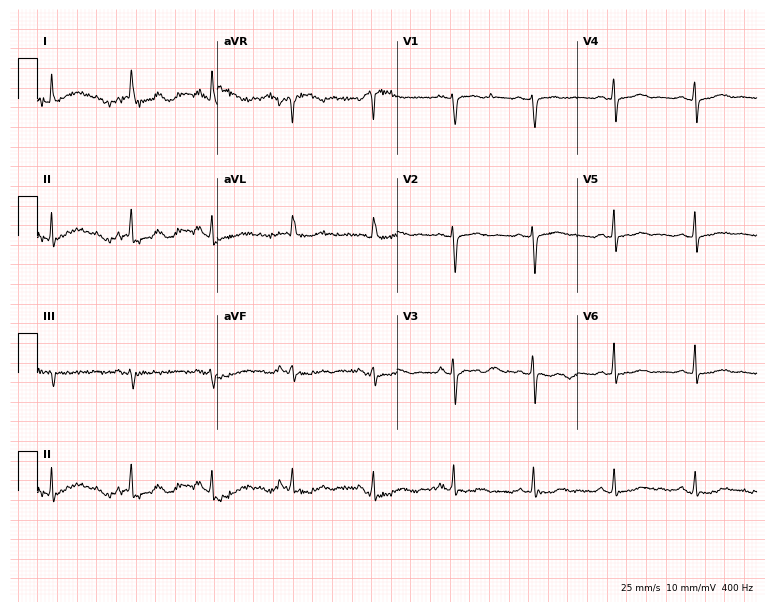
12-lead ECG from a woman, 59 years old. Screened for six findings — first-degree AV block, right bundle branch block, left bundle branch block, sinus bradycardia, atrial fibrillation, sinus tachycardia — none is recorded. Only these six findings were labelled.